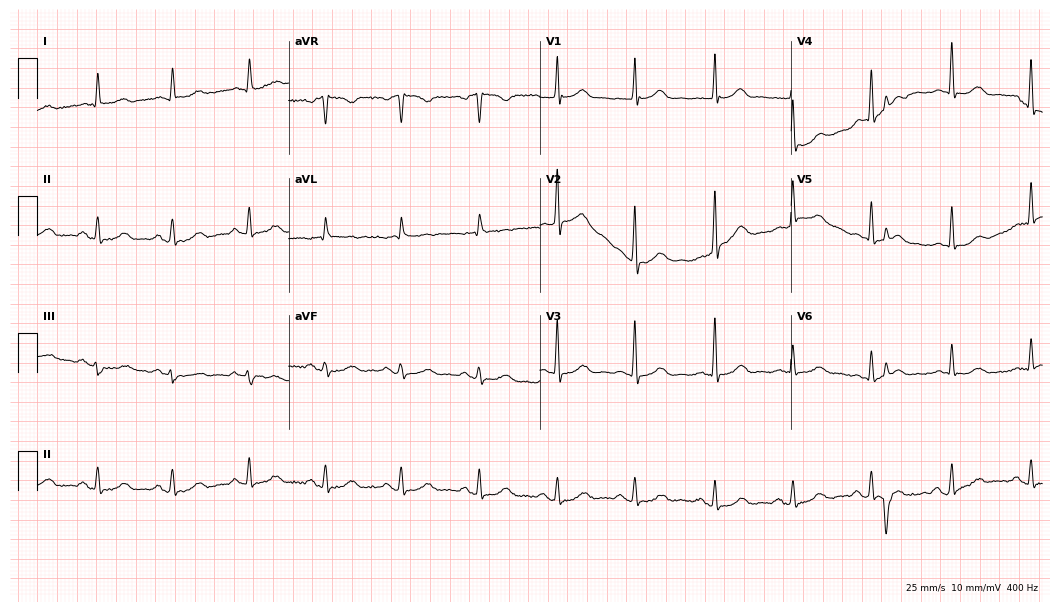
ECG (10.2-second recording at 400 Hz) — an 81-year-old female patient. Screened for six findings — first-degree AV block, right bundle branch block, left bundle branch block, sinus bradycardia, atrial fibrillation, sinus tachycardia — none is recorded.